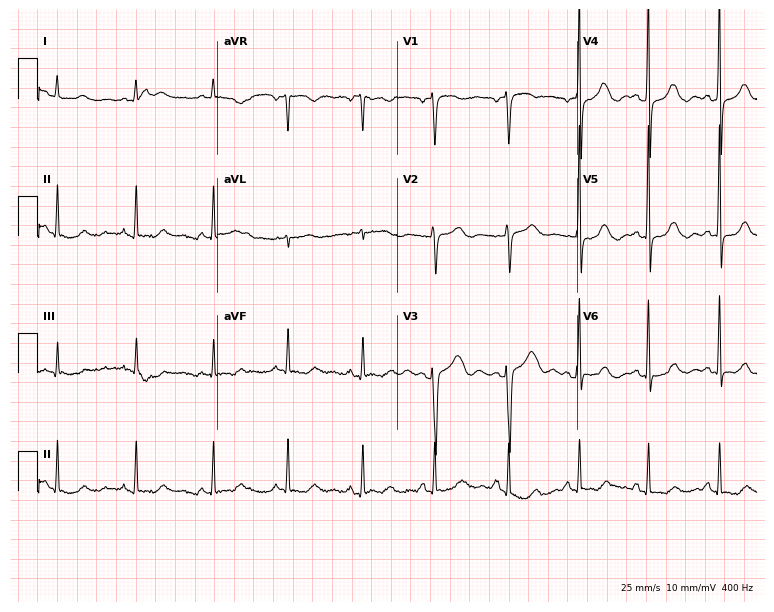
ECG (7.3-second recording at 400 Hz) — a female, 40 years old. Screened for six findings — first-degree AV block, right bundle branch block (RBBB), left bundle branch block (LBBB), sinus bradycardia, atrial fibrillation (AF), sinus tachycardia — none is recorded. Findings outside these six are not listed.